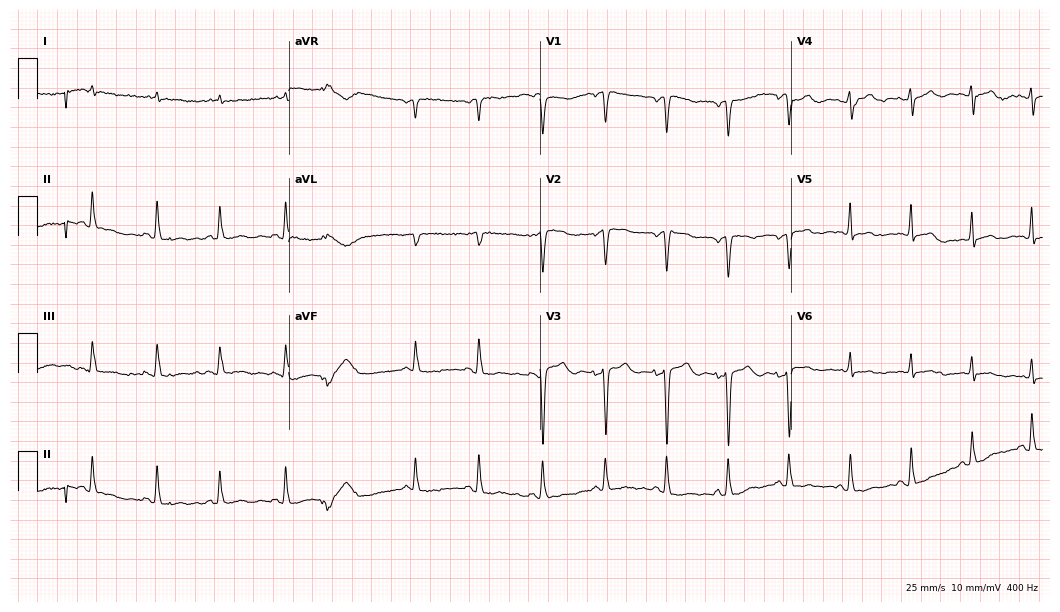
12-lead ECG from a 79-year-old woman. No first-degree AV block, right bundle branch block, left bundle branch block, sinus bradycardia, atrial fibrillation or sinus tachycardia recorded for this tracing.